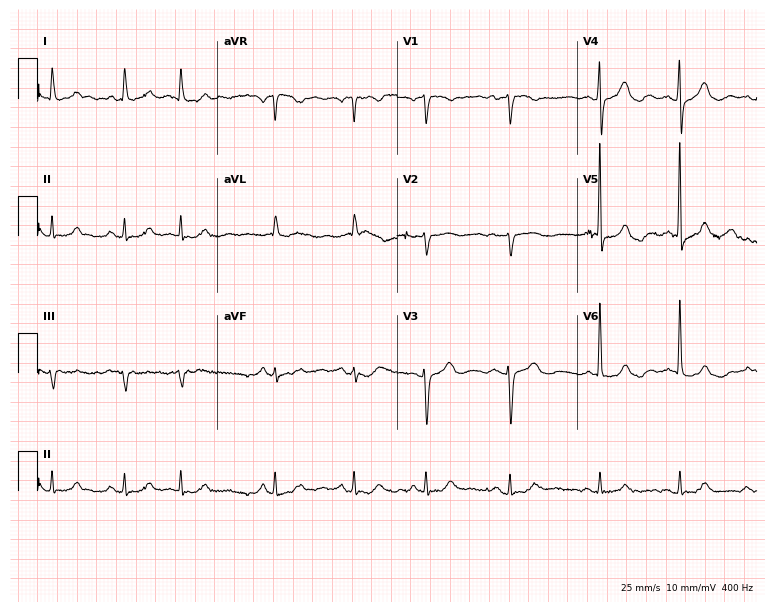
ECG (7.3-second recording at 400 Hz) — a female, 76 years old. Screened for six findings — first-degree AV block, right bundle branch block, left bundle branch block, sinus bradycardia, atrial fibrillation, sinus tachycardia — none is recorded. Findings outside these six are not listed.